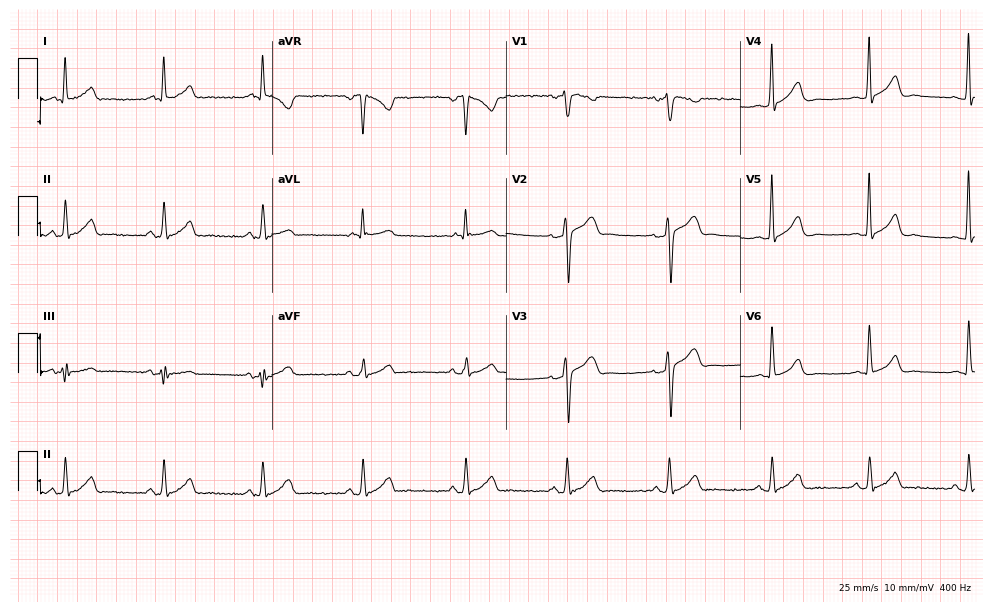
Standard 12-lead ECG recorded from a male, 40 years old. None of these six findings is recorded: first-degree AV block, right bundle branch block, left bundle branch block, sinus bradycardia, atrial fibrillation, sinus tachycardia. Findings outside these six are not listed.